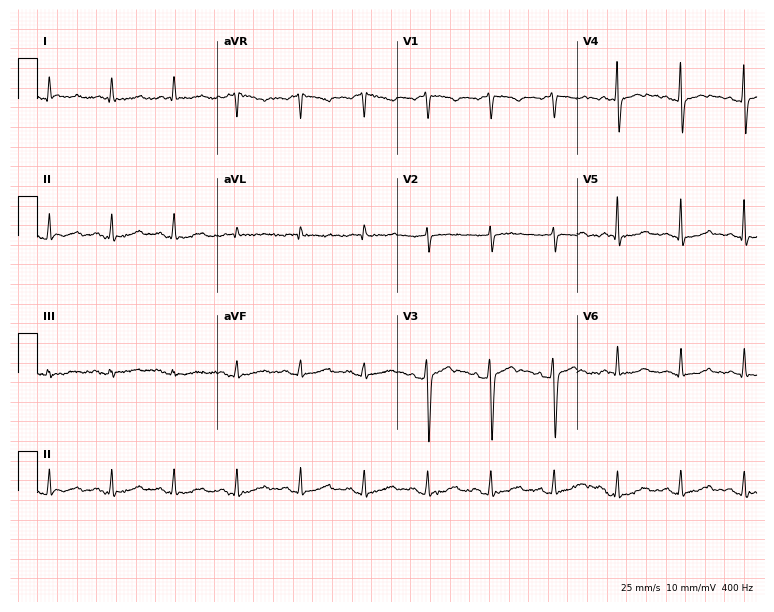
ECG — a 70-year-old male. Screened for six findings — first-degree AV block, right bundle branch block, left bundle branch block, sinus bradycardia, atrial fibrillation, sinus tachycardia — none is recorded. Findings outside these six are not listed.